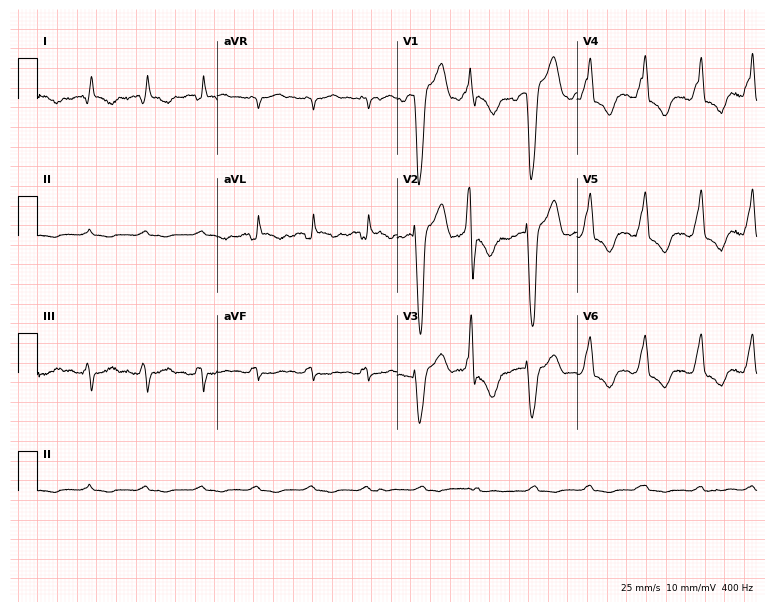
Resting 12-lead electrocardiogram. Patient: a female, 78 years old. The tracing shows left bundle branch block, sinus tachycardia (a sinus rate of 100 beats per minute or more).